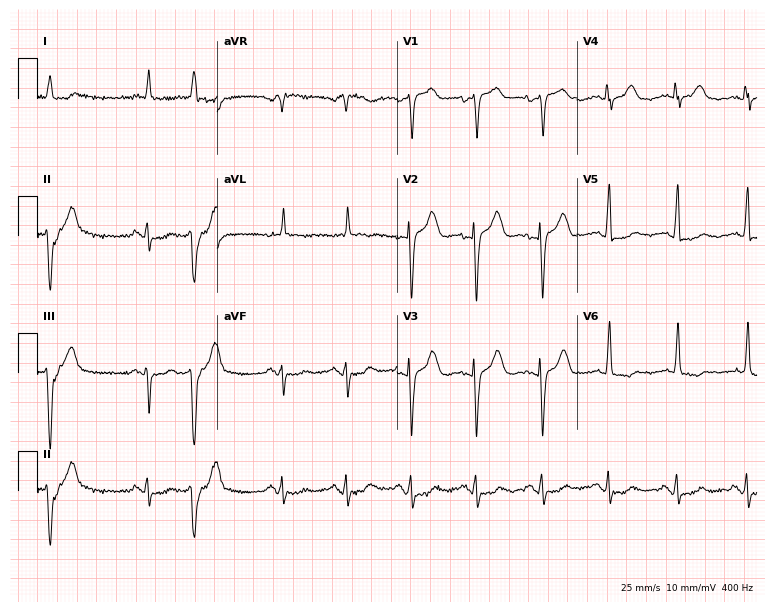
12-lead ECG (7.3-second recording at 400 Hz) from a female, 80 years old. Screened for six findings — first-degree AV block, right bundle branch block, left bundle branch block, sinus bradycardia, atrial fibrillation, sinus tachycardia — none is recorded. Other findings, if any, are not listed.